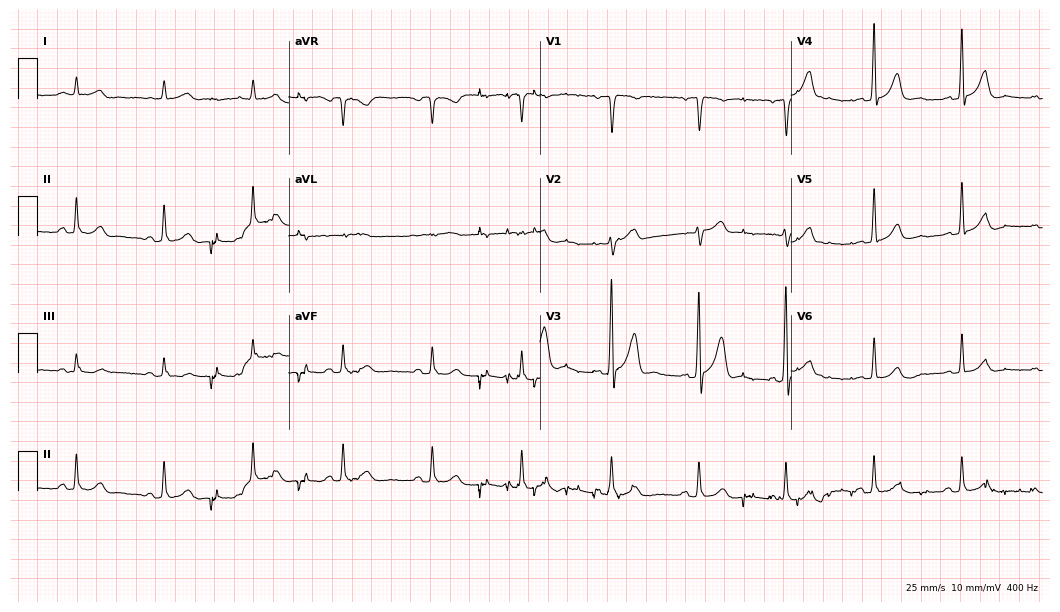
Resting 12-lead electrocardiogram (10.2-second recording at 400 Hz). Patient: a 66-year-old male. Read as a normal ECG.